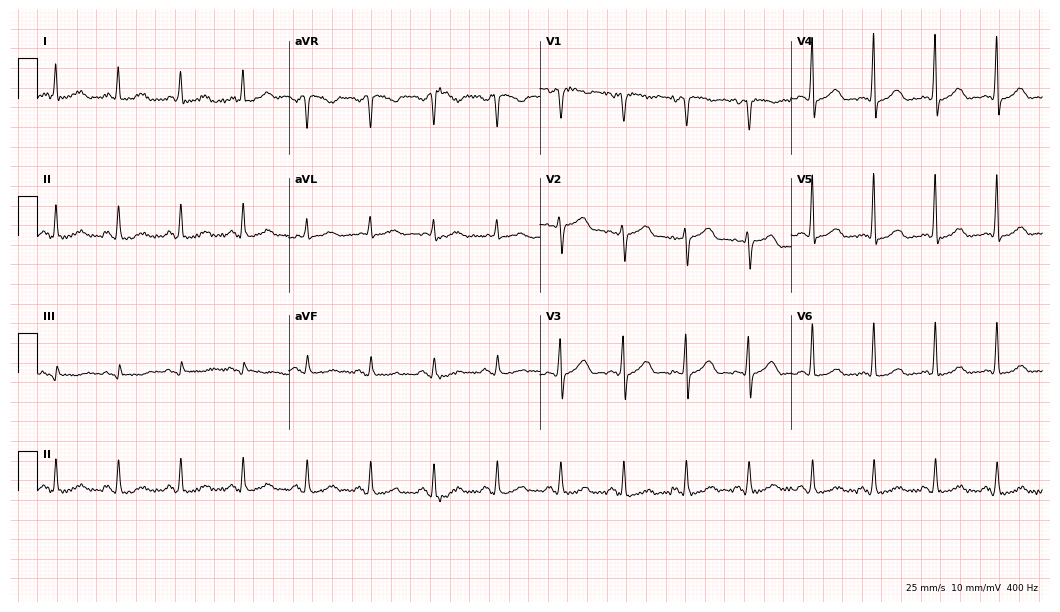
ECG — a 59-year-old female. Labelled as a normal ECG.